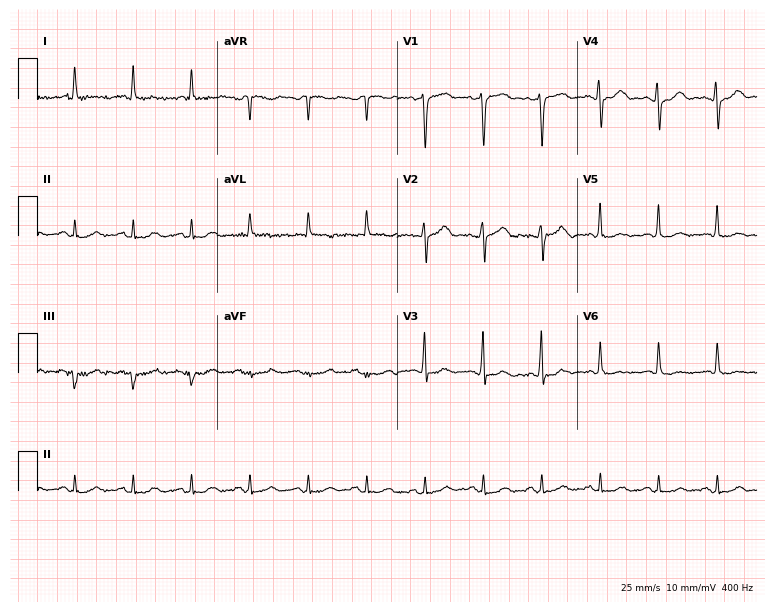
12-lead ECG from a woman, 74 years old. Shows sinus tachycardia (a sinus rate of 100 beats per minute or more).